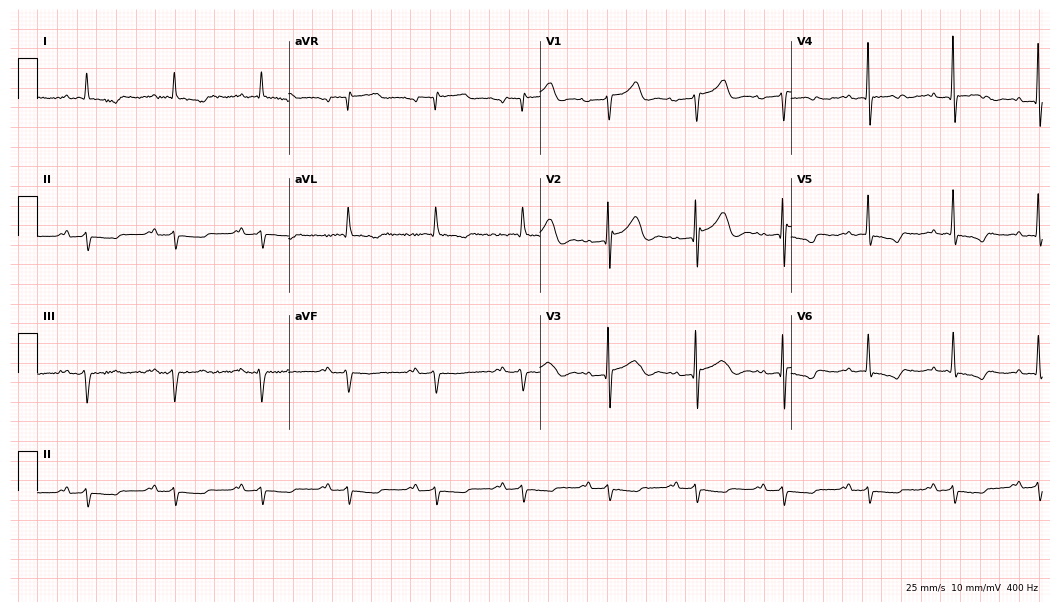
12-lead ECG from a male patient, 66 years old (10.2-second recording at 400 Hz). No first-degree AV block, right bundle branch block (RBBB), left bundle branch block (LBBB), sinus bradycardia, atrial fibrillation (AF) or sinus tachycardia recorded for this tracing. Only these six findings were labelled.